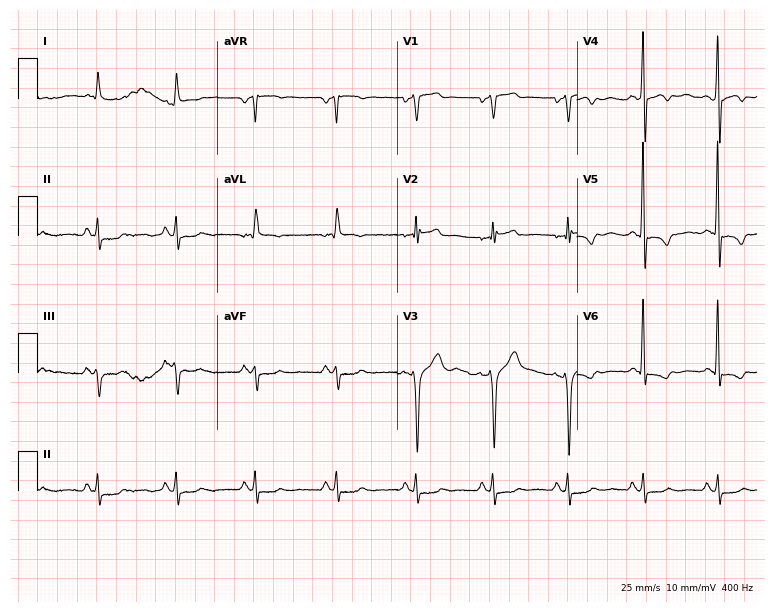
Standard 12-lead ECG recorded from a male patient, 49 years old. None of these six findings is recorded: first-degree AV block, right bundle branch block (RBBB), left bundle branch block (LBBB), sinus bradycardia, atrial fibrillation (AF), sinus tachycardia. Only these six findings were labelled.